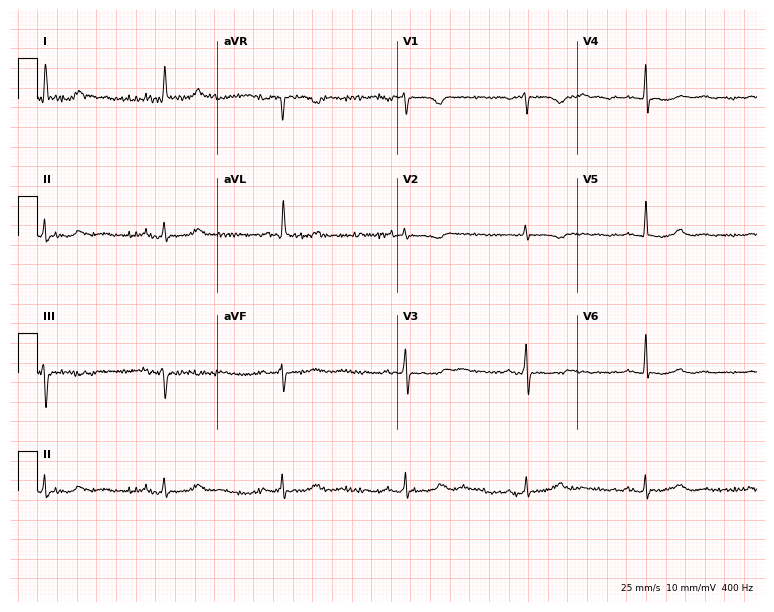
Resting 12-lead electrocardiogram (7.3-second recording at 400 Hz). Patient: a female, 71 years old. The tracing shows sinus bradycardia (a sinus rate of 50 beats per minute or less).